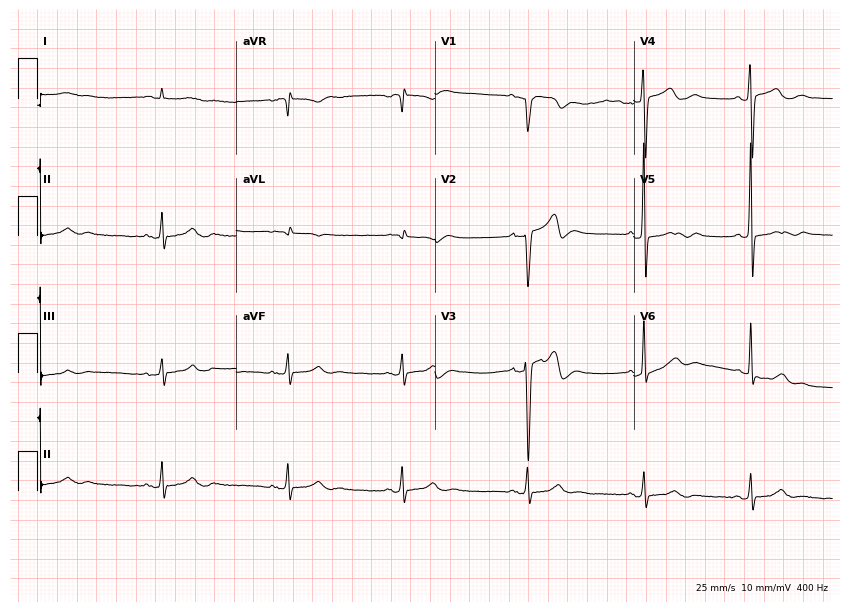
Electrocardiogram (8.1-second recording at 400 Hz), a 34-year-old male. Overall reading on record: normal ECG.